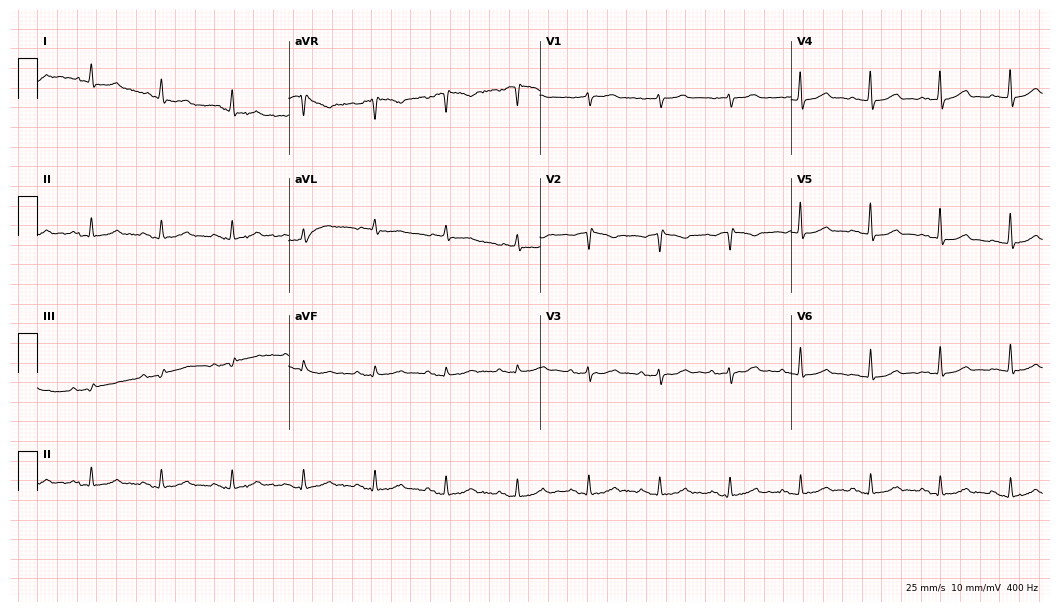
12-lead ECG (10.2-second recording at 400 Hz) from a 76-year-old woman. Labelled as a normal ECG.